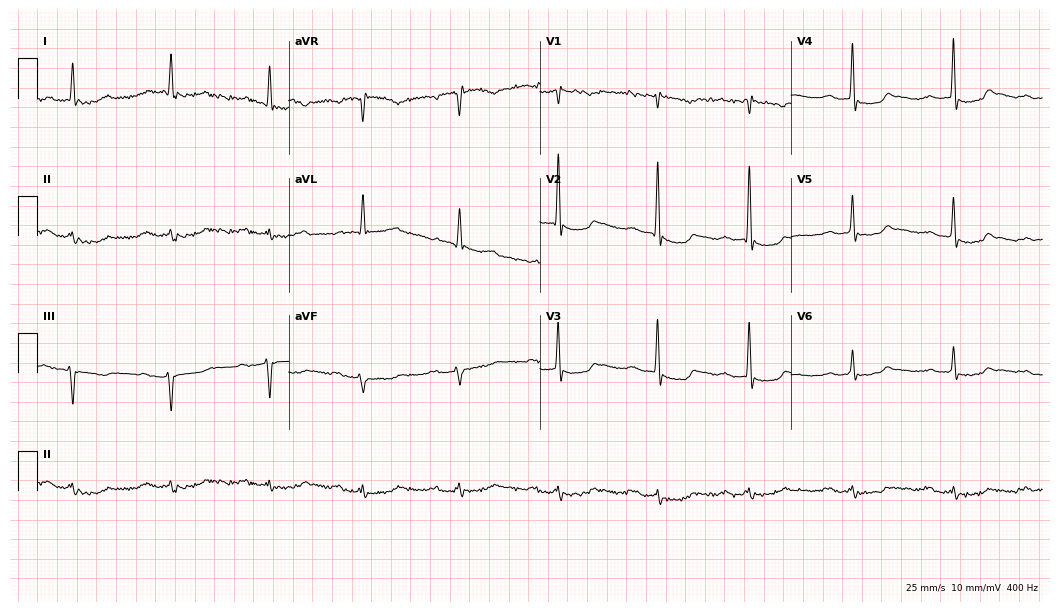
12-lead ECG from a 79-year-old male patient (10.2-second recording at 400 Hz). Shows first-degree AV block.